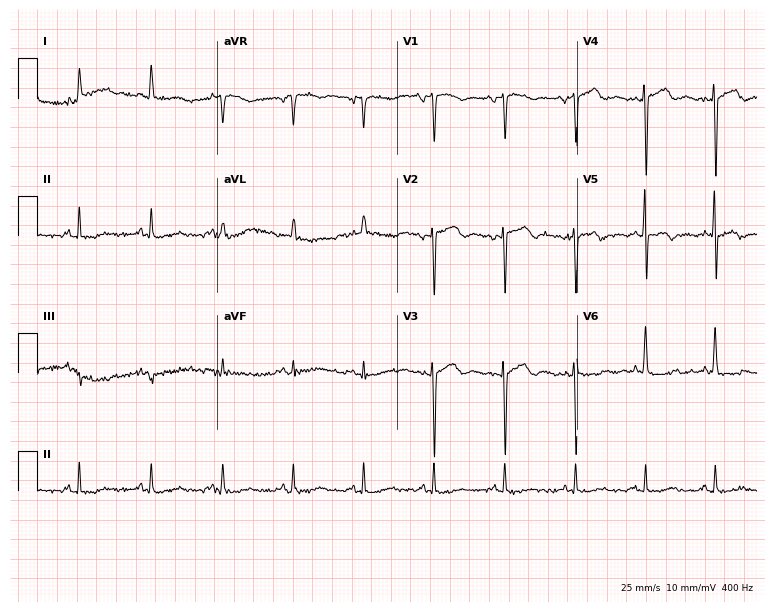
Resting 12-lead electrocardiogram (7.3-second recording at 400 Hz). Patient: a 64-year-old male. None of these six findings is recorded: first-degree AV block, right bundle branch block (RBBB), left bundle branch block (LBBB), sinus bradycardia, atrial fibrillation (AF), sinus tachycardia.